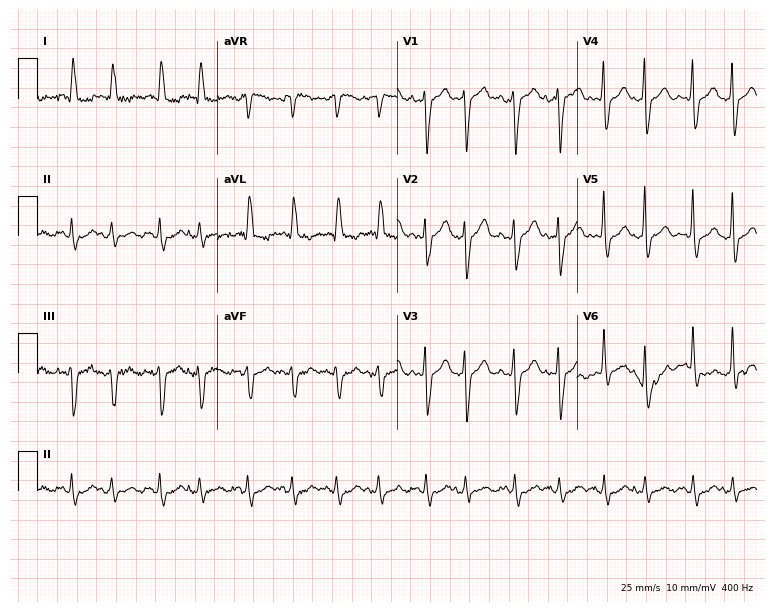
12-lead ECG from a female, 85 years old. Findings include sinus tachycardia (a sinus rate of 100 beats per minute or more).